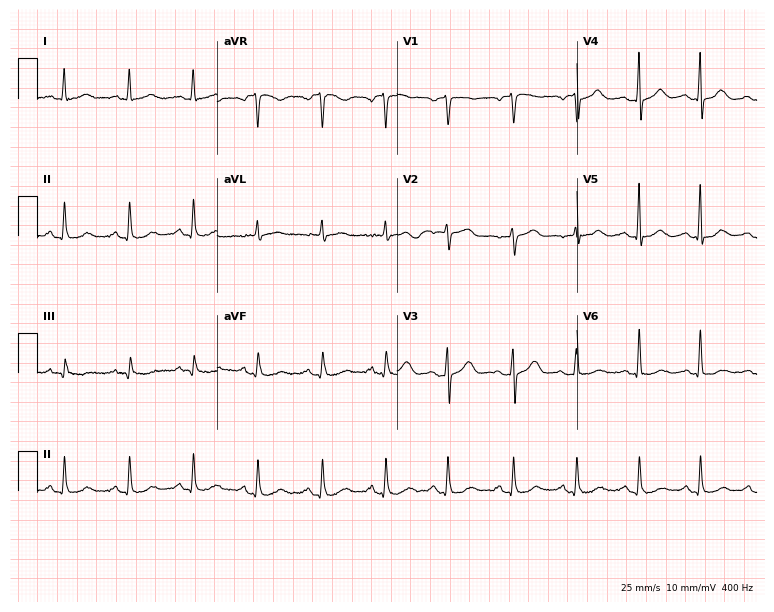
12-lead ECG from a female patient, 53 years old. Labelled as a normal ECG.